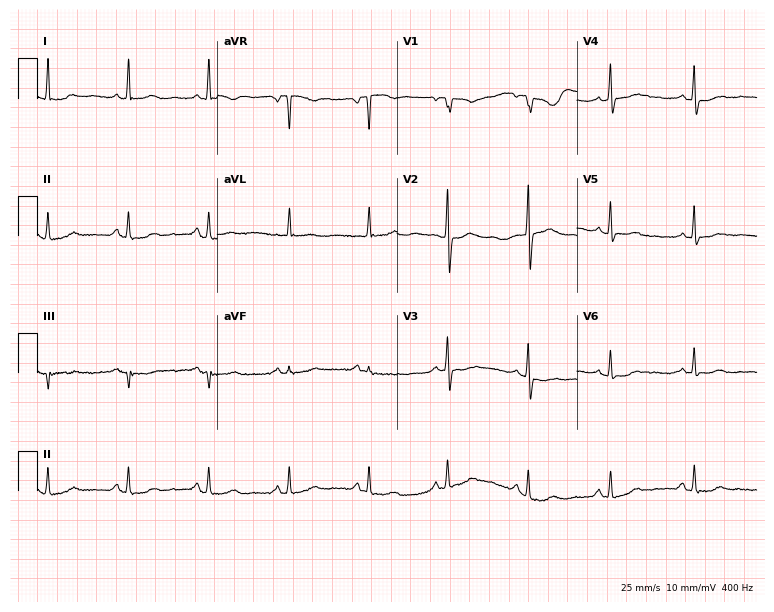
Resting 12-lead electrocardiogram. Patient: a female, 80 years old. None of these six findings is recorded: first-degree AV block, right bundle branch block, left bundle branch block, sinus bradycardia, atrial fibrillation, sinus tachycardia.